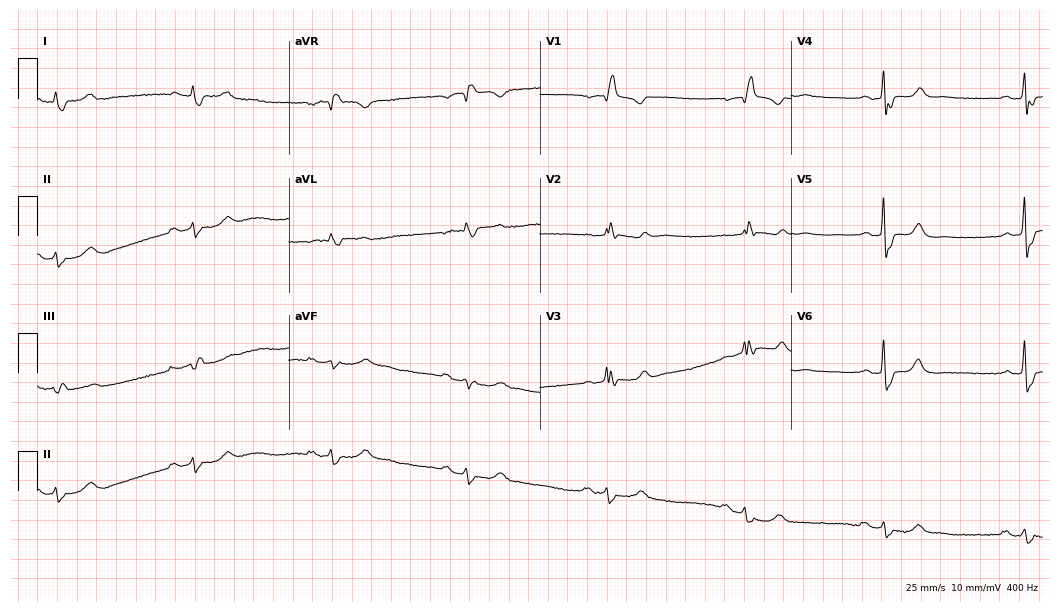
Electrocardiogram, a male patient, 76 years old. Of the six screened findings (first-degree AV block, right bundle branch block, left bundle branch block, sinus bradycardia, atrial fibrillation, sinus tachycardia), none is recorded. Only these six findings were labelled.